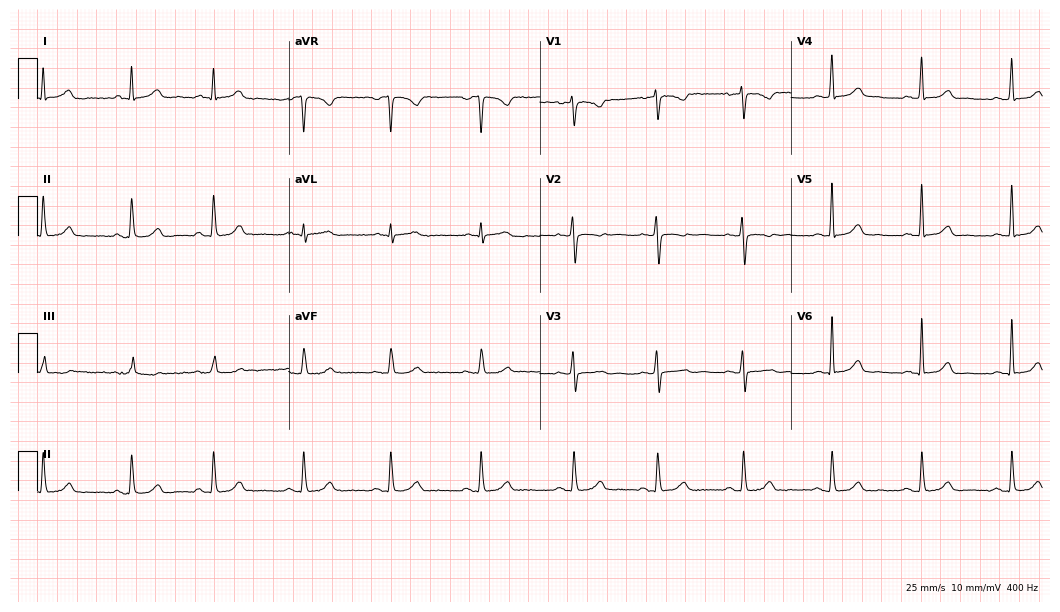
Electrocardiogram, a female patient, 44 years old. Overall reading on record: normal ECG.